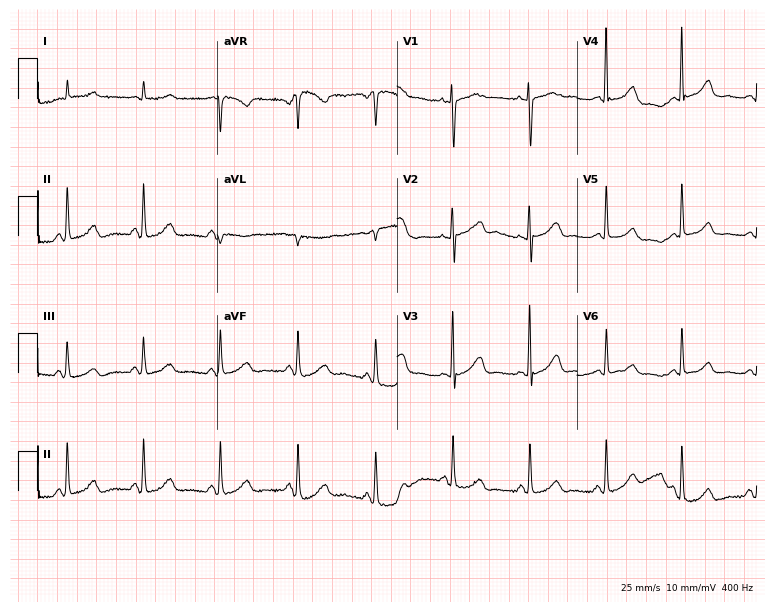
Resting 12-lead electrocardiogram (7.3-second recording at 400 Hz). Patient: an 84-year-old woman. Read as a normal ECG.